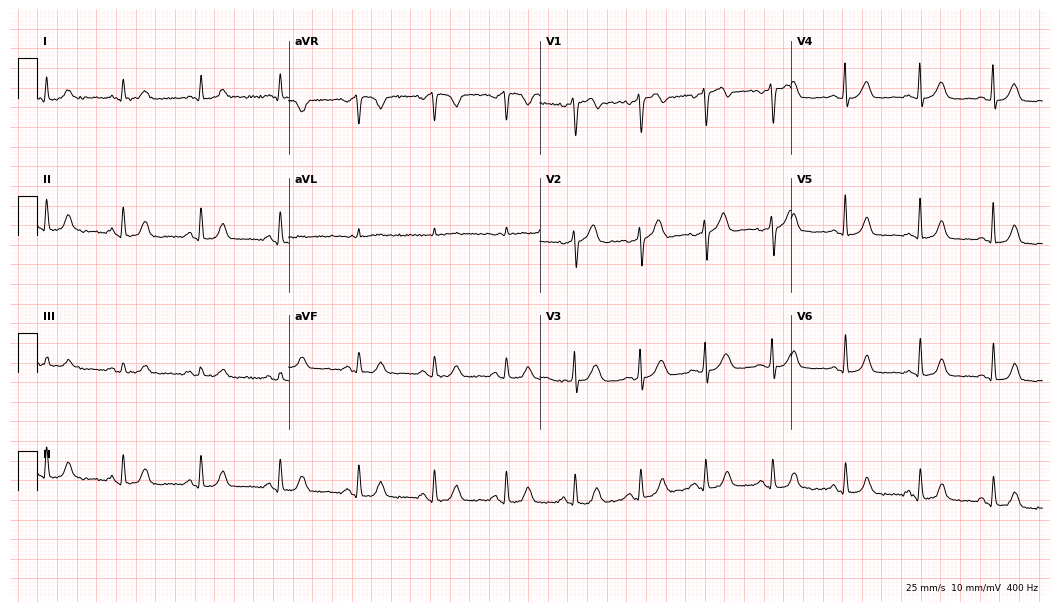
ECG — a female patient, 44 years old. Labelled as a normal ECG.